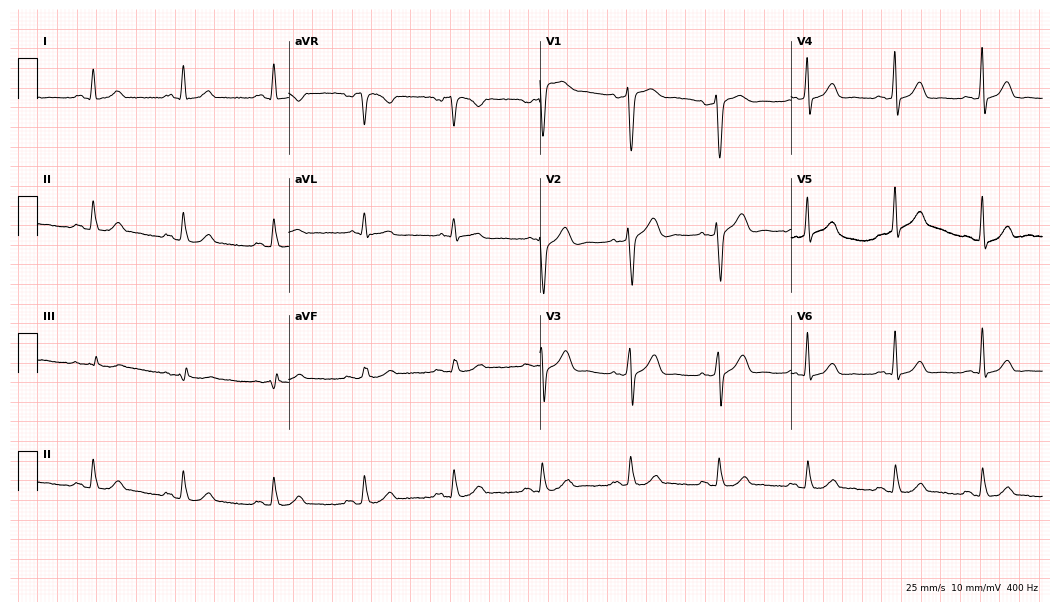
Electrocardiogram, a man, 64 years old. Of the six screened findings (first-degree AV block, right bundle branch block (RBBB), left bundle branch block (LBBB), sinus bradycardia, atrial fibrillation (AF), sinus tachycardia), none is recorded. Other findings, if any, are not listed.